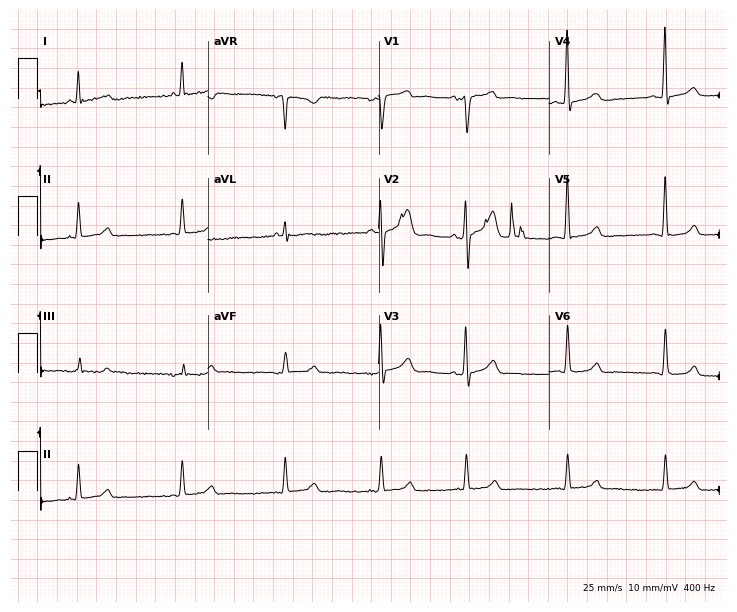
ECG — a man, 49 years old. Screened for six findings — first-degree AV block, right bundle branch block (RBBB), left bundle branch block (LBBB), sinus bradycardia, atrial fibrillation (AF), sinus tachycardia — none is recorded.